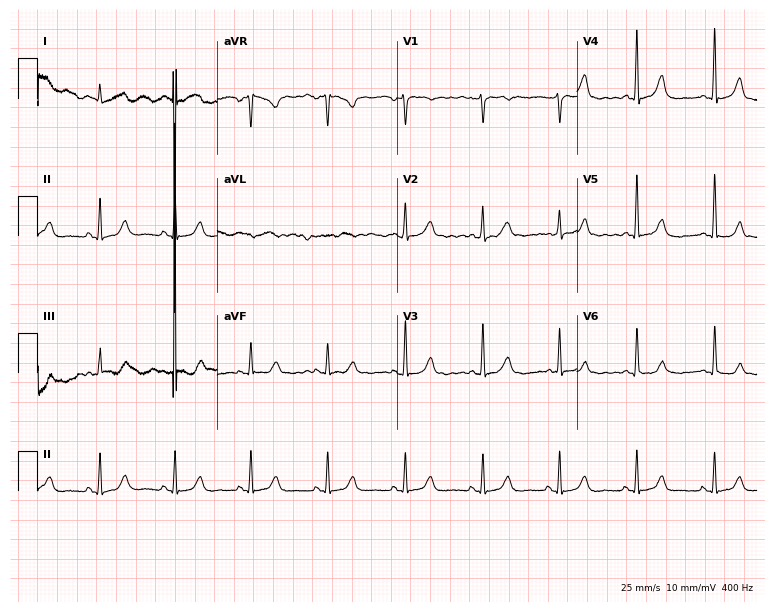
Electrocardiogram (7.3-second recording at 400 Hz), a female, 75 years old. Overall reading on record: normal ECG.